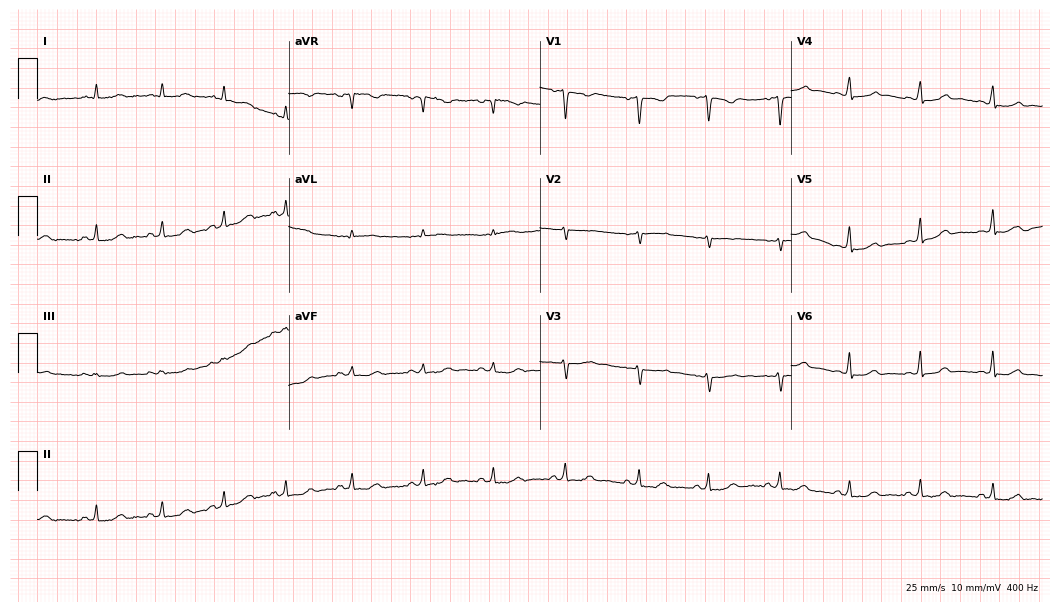
ECG — a 30-year-old female. Labelled as a normal ECG.